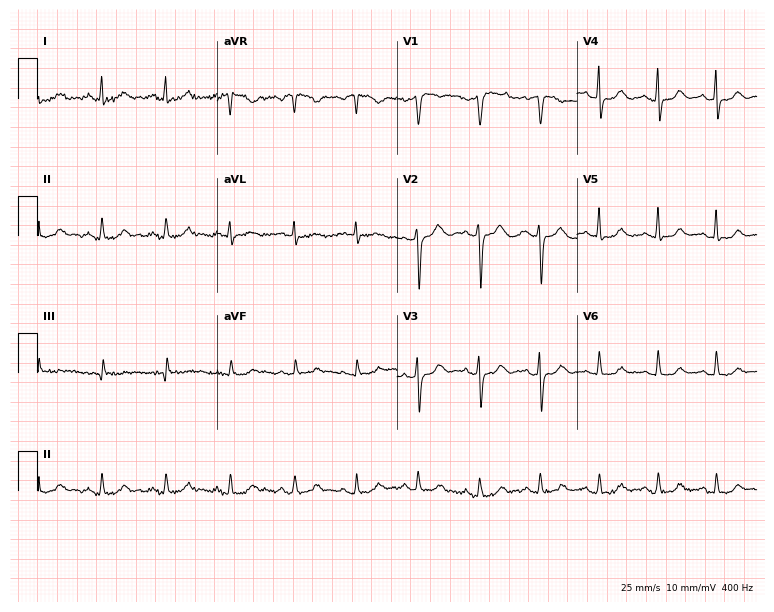
Resting 12-lead electrocardiogram. Patient: a 53-year-old female. Read as a normal ECG.